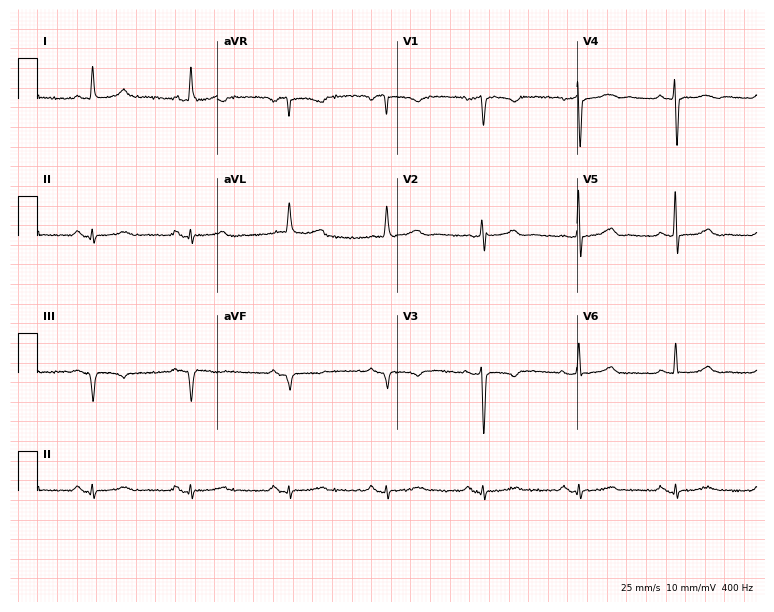
ECG (7.3-second recording at 400 Hz) — a female patient, 76 years old. Screened for six findings — first-degree AV block, right bundle branch block, left bundle branch block, sinus bradycardia, atrial fibrillation, sinus tachycardia — none is recorded.